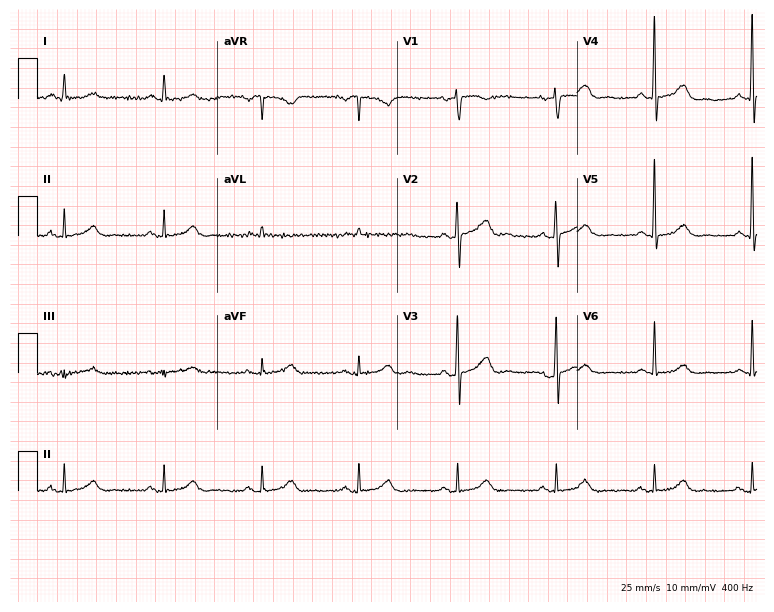
ECG (7.3-second recording at 400 Hz) — a man, 82 years old. Screened for six findings — first-degree AV block, right bundle branch block (RBBB), left bundle branch block (LBBB), sinus bradycardia, atrial fibrillation (AF), sinus tachycardia — none is recorded. Findings outside these six are not listed.